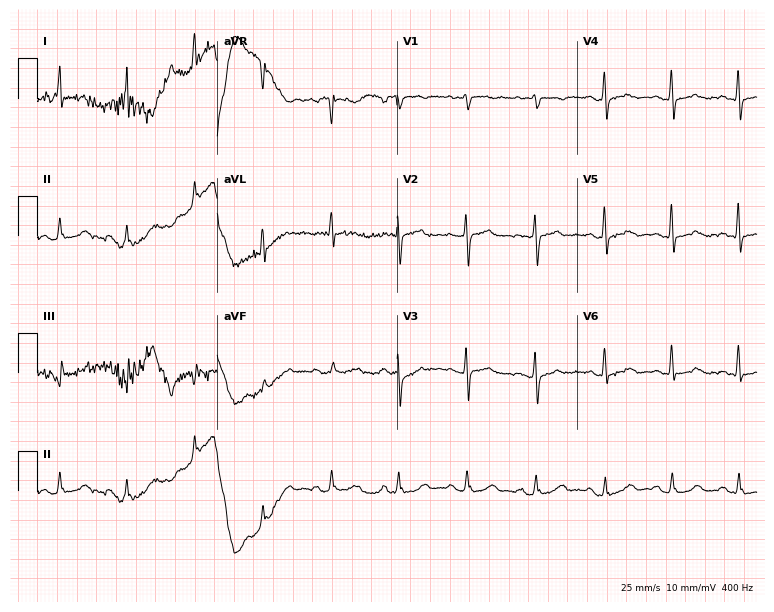
12-lead ECG (7.3-second recording at 400 Hz) from a woman, 62 years old. Screened for six findings — first-degree AV block, right bundle branch block (RBBB), left bundle branch block (LBBB), sinus bradycardia, atrial fibrillation (AF), sinus tachycardia — none is recorded. Other findings, if any, are not listed.